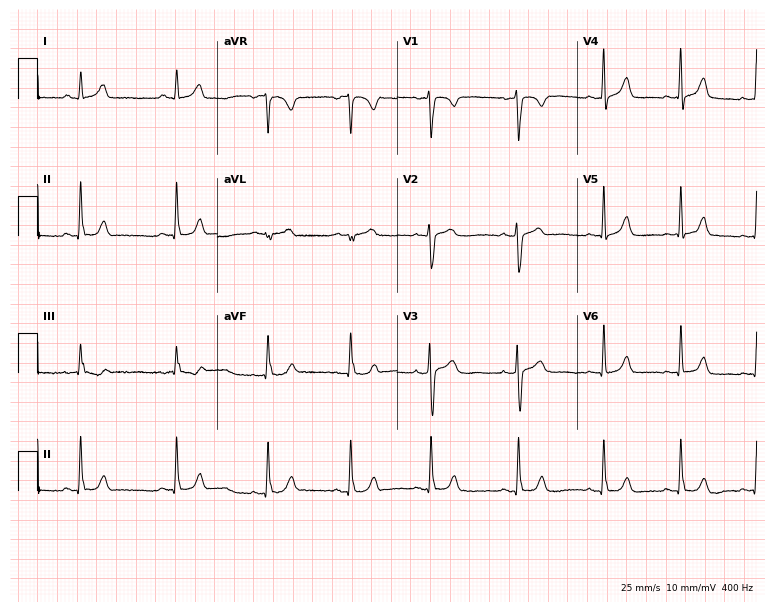
Electrocardiogram, a female patient, 19 years old. Of the six screened findings (first-degree AV block, right bundle branch block, left bundle branch block, sinus bradycardia, atrial fibrillation, sinus tachycardia), none is recorded. Findings outside these six are not listed.